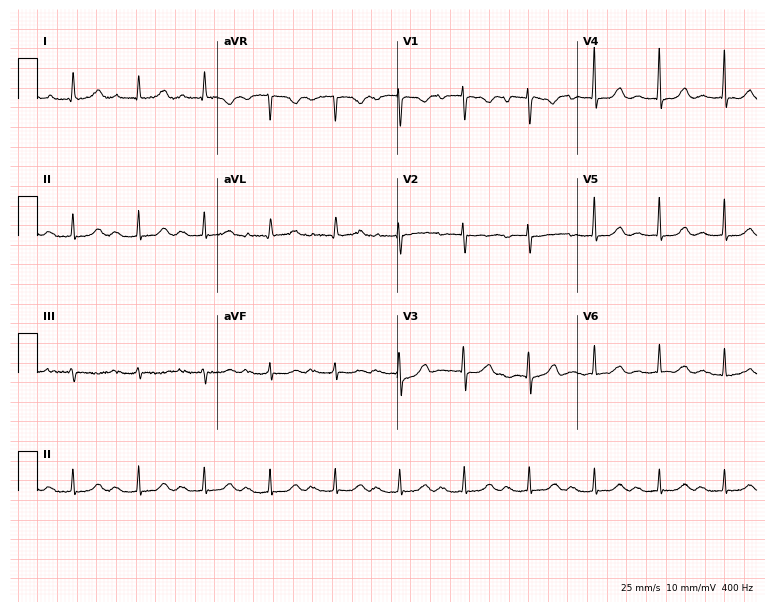
12-lead ECG (7.3-second recording at 400 Hz) from a woman, 80 years old. Findings include first-degree AV block.